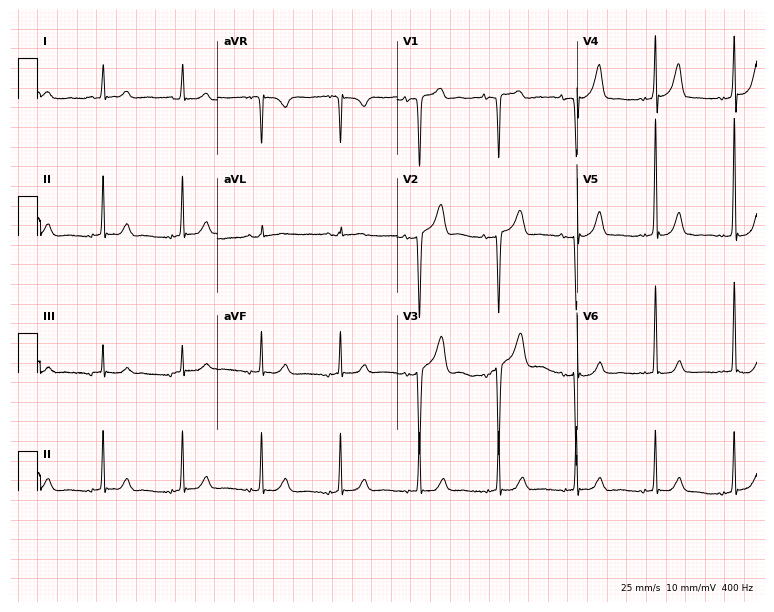
12-lead ECG (7.3-second recording at 400 Hz) from a 76-year-old female patient. Labelled as a normal ECG.